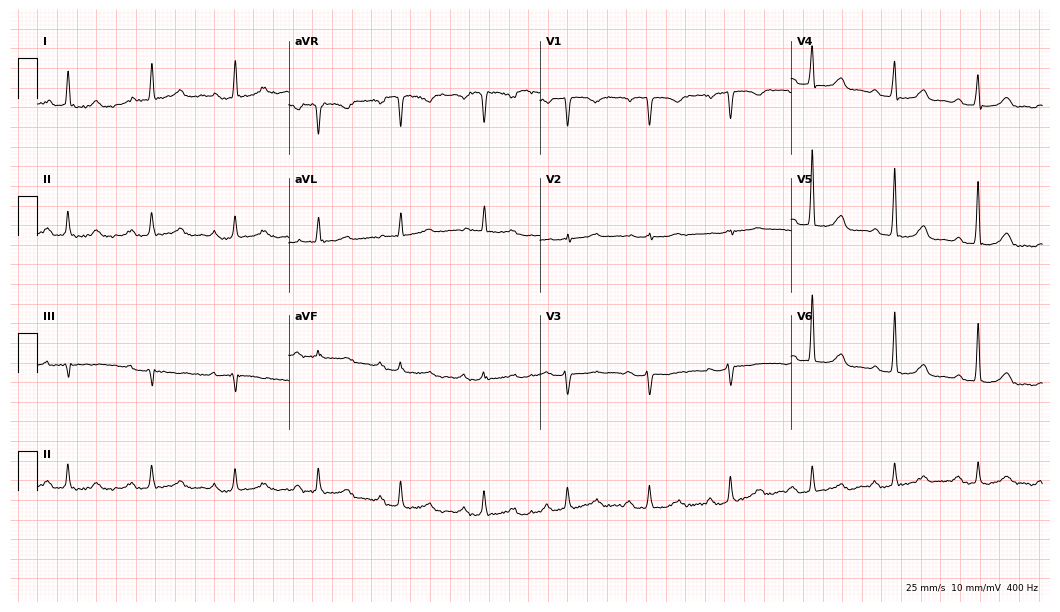
12-lead ECG from a female patient, 72 years old (10.2-second recording at 400 Hz). Shows first-degree AV block.